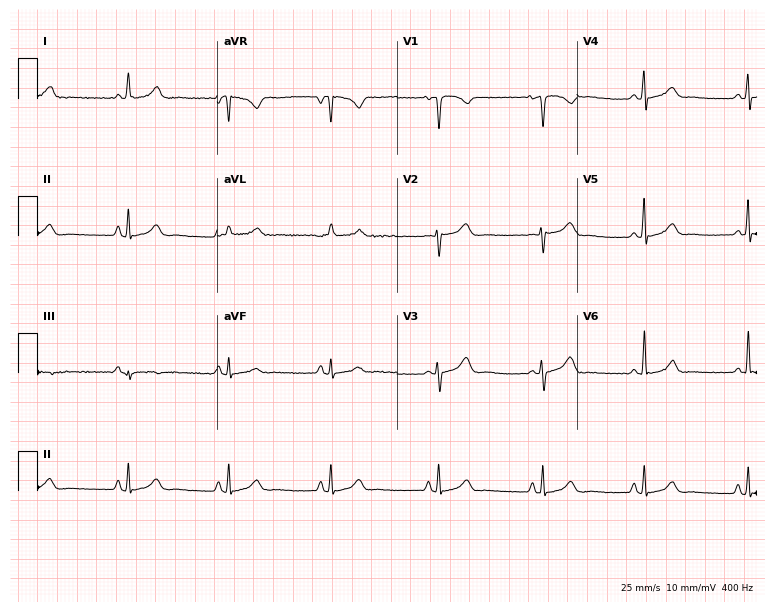
12-lead ECG from a 17-year-old woman. No first-degree AV block, right bundle branch block (RBBB), left bundle branch block (LBBB), sinus bradycardia, atrial fibrillation (AF) or sinus tachycardia recorded for this tracing.